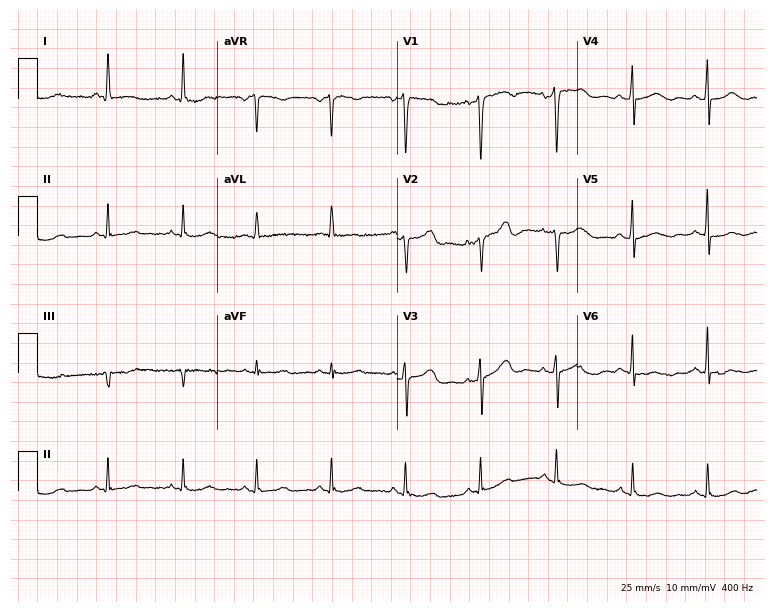
ECG — a female, 58 years old. Screened for six findings — first-degree AV block, right bundle branch block, left bundle branch block, sinus bradycardia, atrial fibrillation, sinus tachycardia — none is recorded. Only these six findings were labelled.